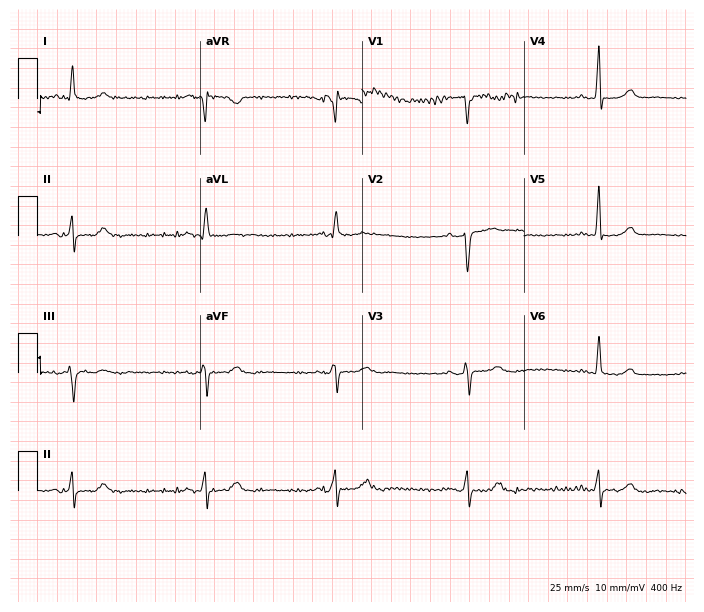
12-lead ECG from a 61-year-old female. Screened for six findings — first-degree AV block, right bundle branch block, left bundle branch block, sinus bradycardia, atrial fibrillation, sinus tachycardia — none is recorded.